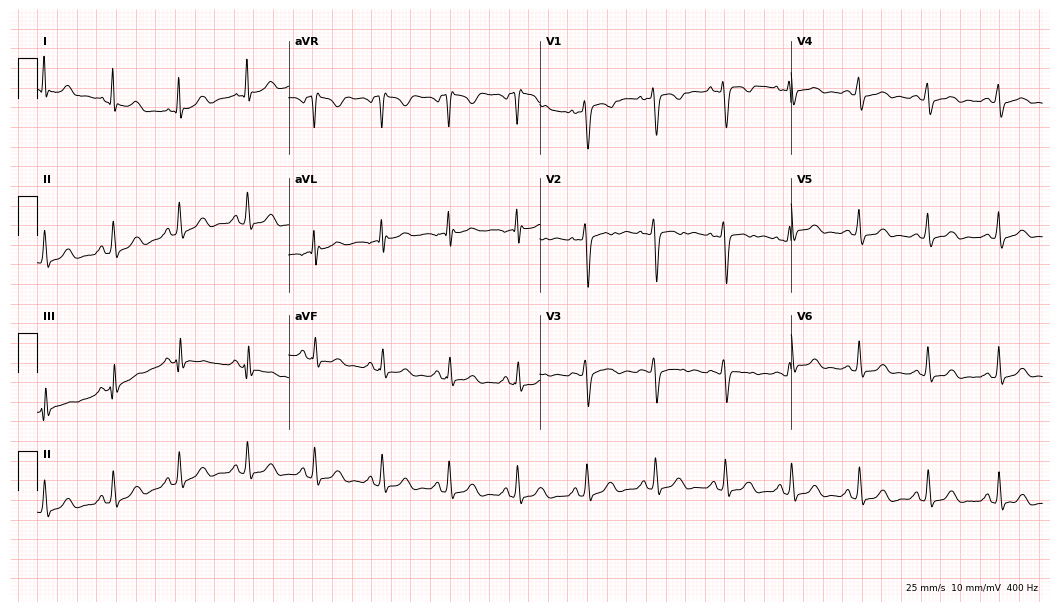
12-lead ECG from a 35-year-old female patient. Screened for six findings — first-degree AV block, right bundle branch block, left bundle branch block, sinus bradycardia, atrial fibrillation, sinus tachycardia — none is recorded.